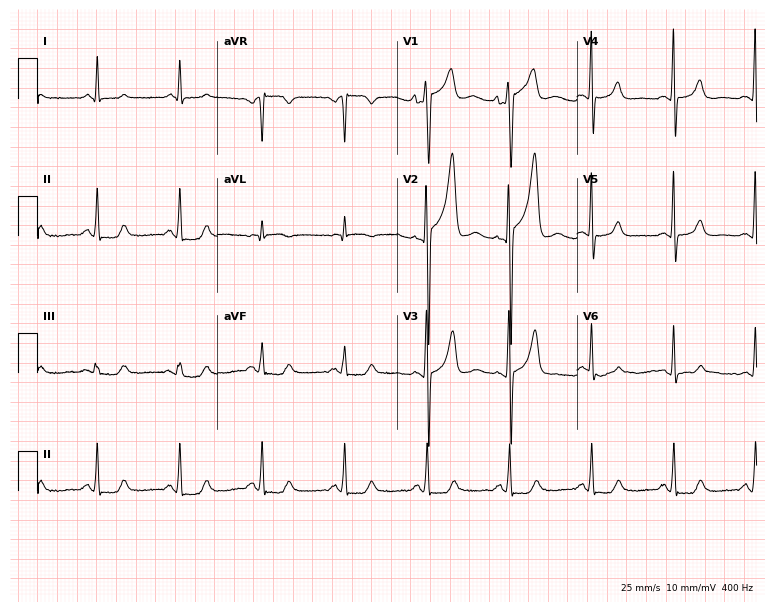
Electrocardiogram, a 47-year-old male patient. Of the six screened findings (first-degree AV block, right bundle branch block, left bundle branch block, sinus bradycardia, atrial fibrillation, sinus tachycardia), none is recorded. Only these six findings were labelled.